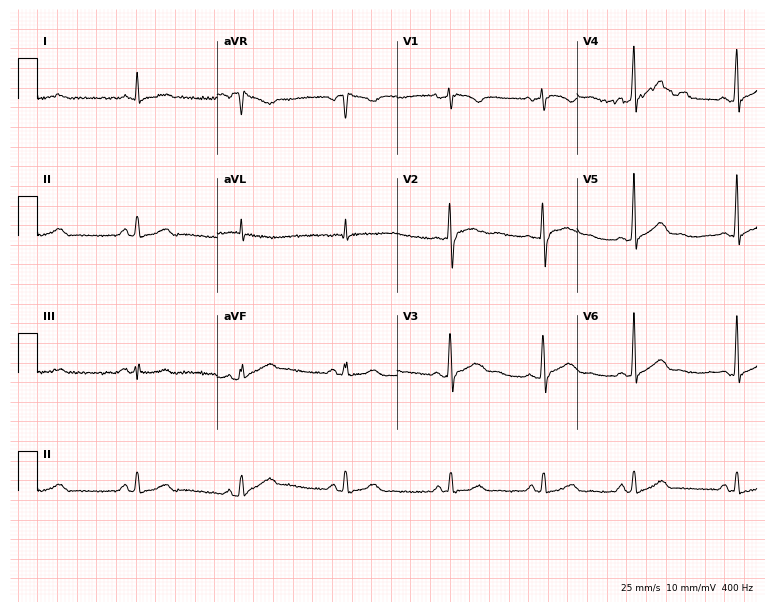
12-lead ECG from a 41-year-old man (7.3-second recording at 400 Hz). Recorded interpretation: within normal limits.